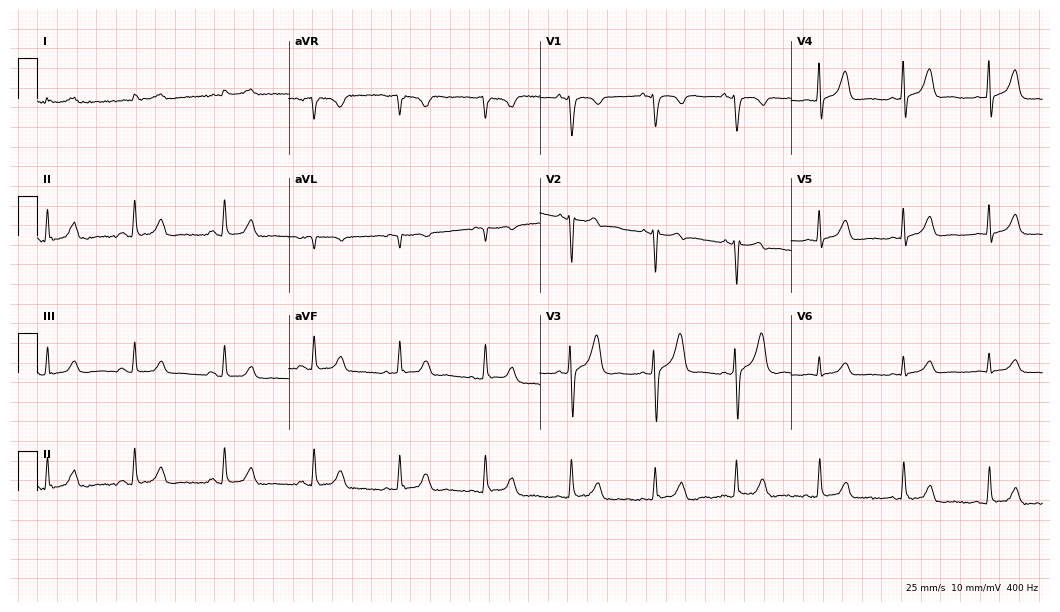
Standard 12-lead ECG recorded from a male, 51 years old (10.2-second recording at 400 Hz). Read as a normal ECG.